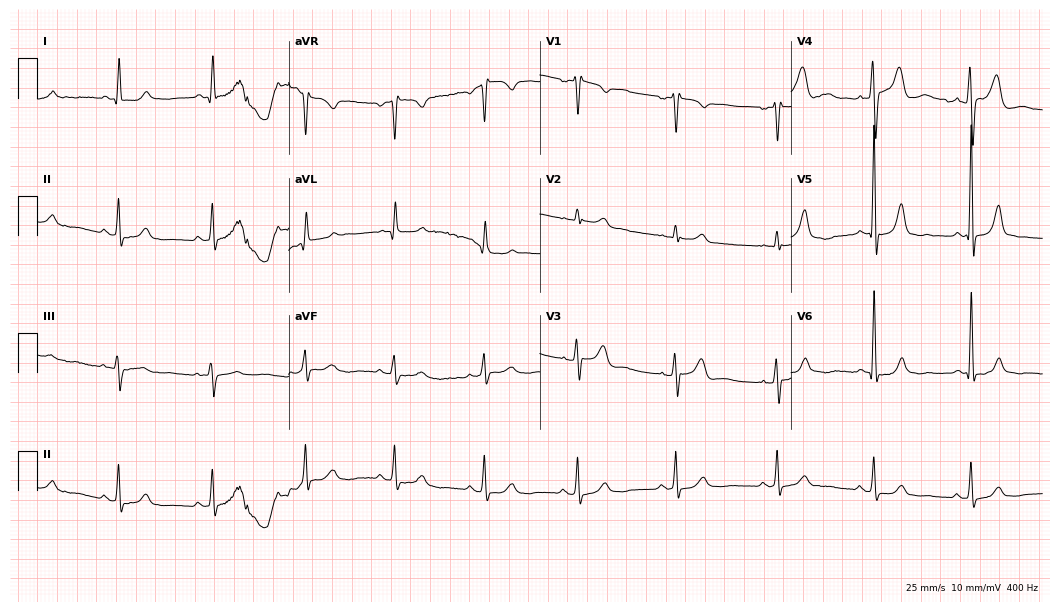
Standard 12-lead ECG recorded from a 77-year-old male patient. Read as a normal ECG.